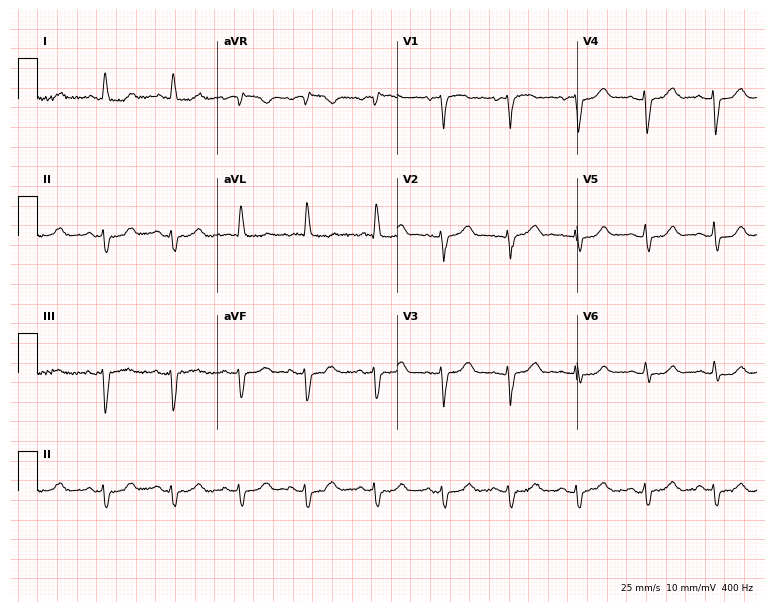
12-lead ECG from a female, 85 years old. No first-degree AV block, right bundle branch block, left bundle branch block, sinus bradycardia, atrial fibrillation or sinus tachycardia recorded for this tracing.